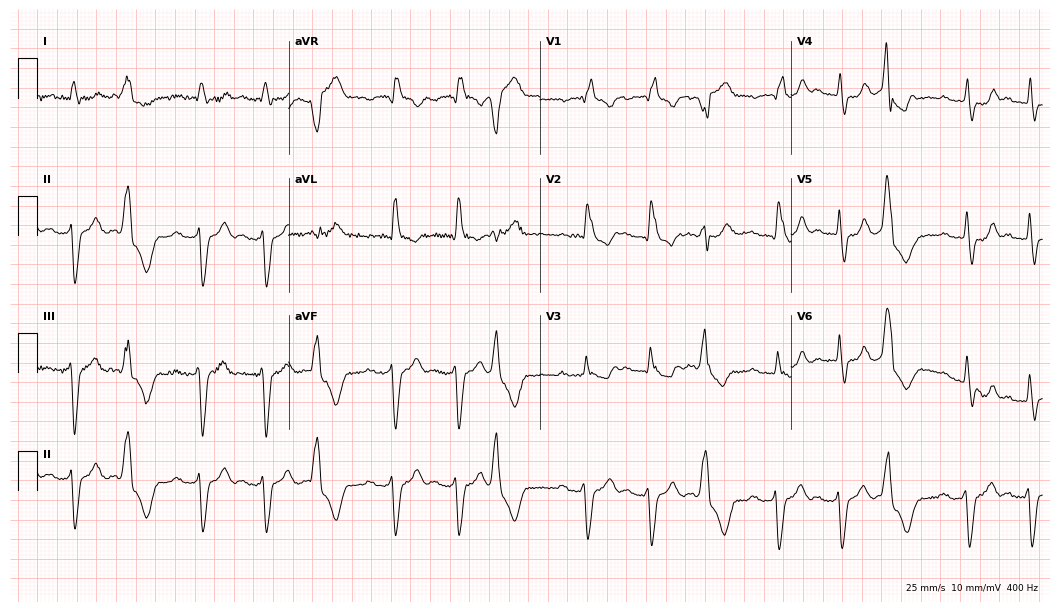
12-lead ECG from an 87-year-old male patient. Findings include first-degree AV block, right bundle branch block.